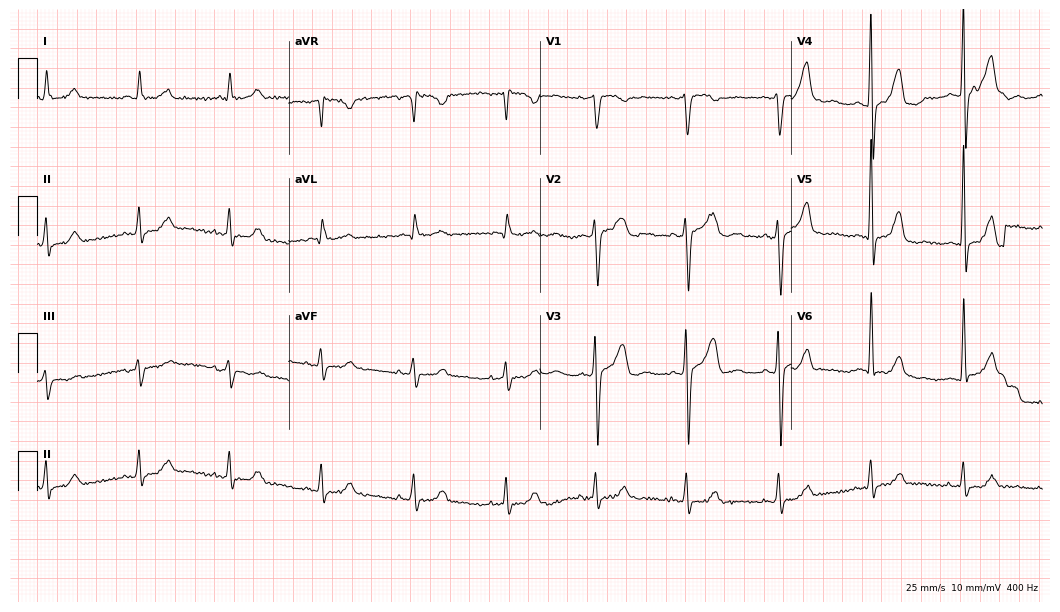
Standard 12-lead ECG recorded from a man, 73 years old (10.2-second recording at 400 Hz). Read as a normal ECG.